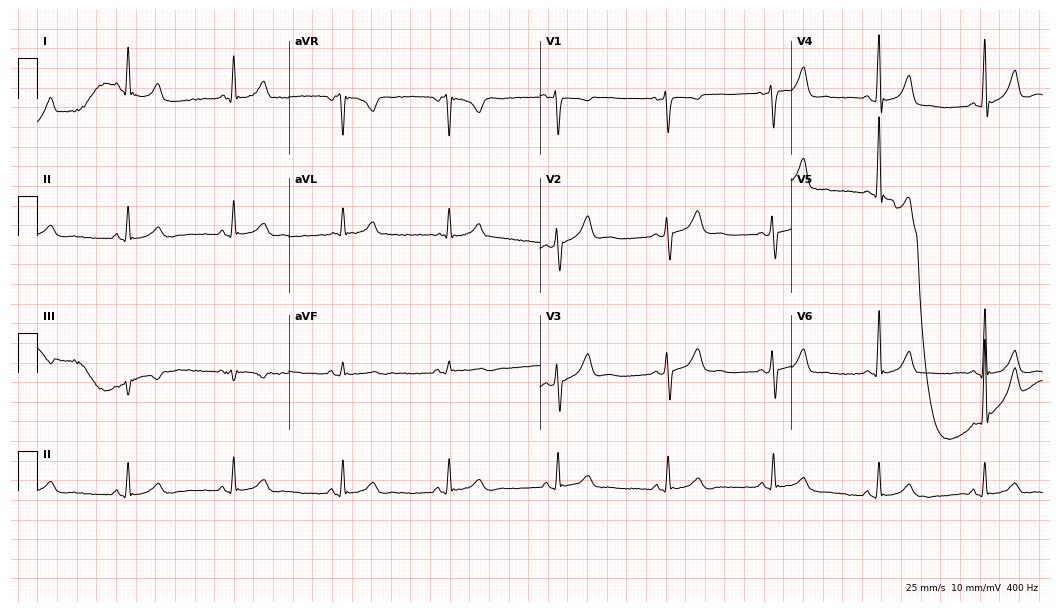
12-lead ECG from a 61-year-old male. Recorded interpretation: within normal limits.